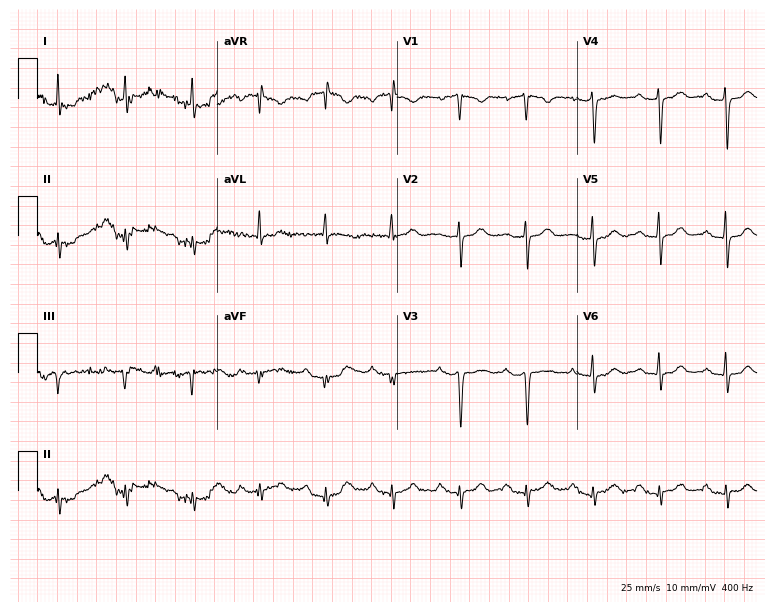
12-lead ECG from a 70-year-old female patient (7.3-second recording at 400 Hz). Shows first-degree AV block.